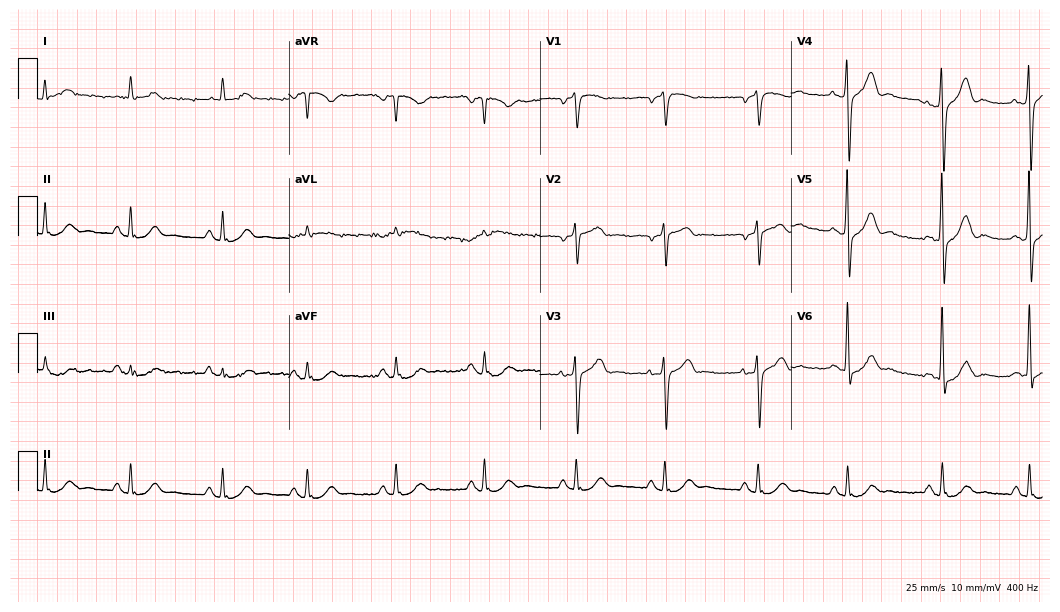
12-lead ECG from a 68-year-old male. Labelled as a normal ECG.